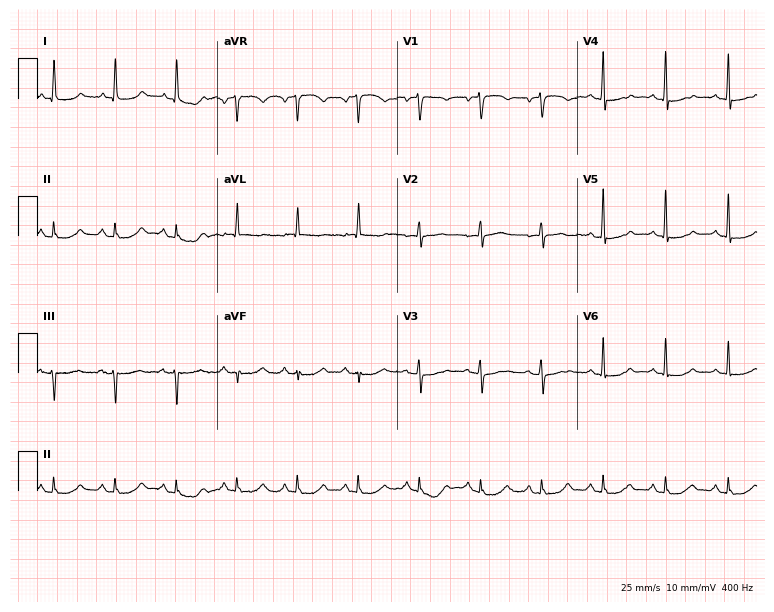
12-lead ECG (7.3-second recording at 400 Hz) from a female patient, 67 years old. Screened for six findings — first-degree AV block, right bundle branch block, left bundle branch block, sinus bradycardia, atrial fibrillation, sinus tachycardia — none is recorded.